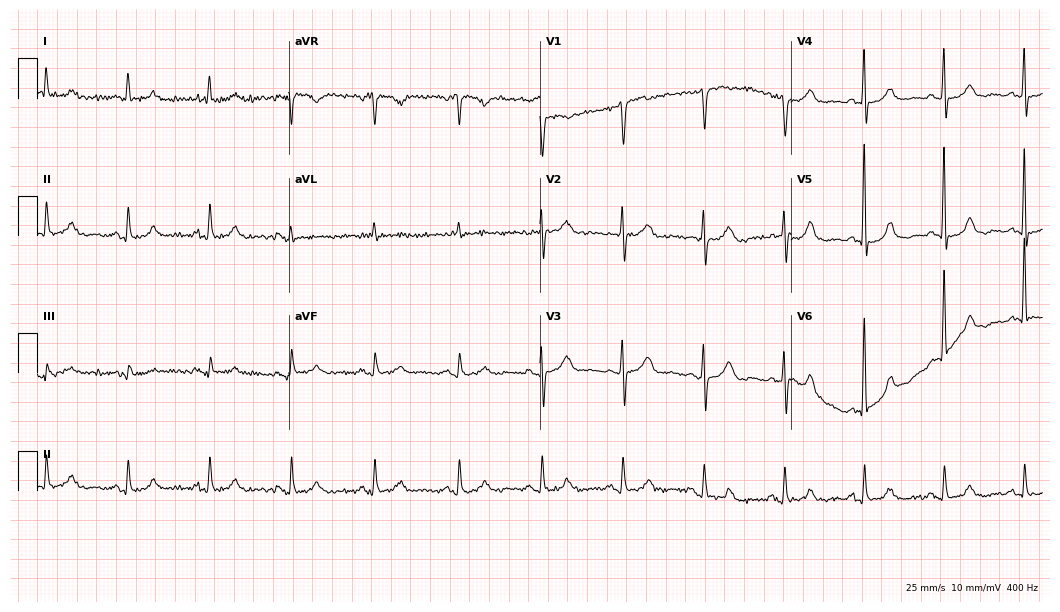
Electrocardiogram (10.2-second recording at 400 Hz), a 79-year-old female patient. Of the six screened findings (first-degree AV block, right bundle branch block, left bundle branch block, sinus bradycardia, atrial fibrillation, sinus tachycardia), none is recorded. Only these six findings were labelled.